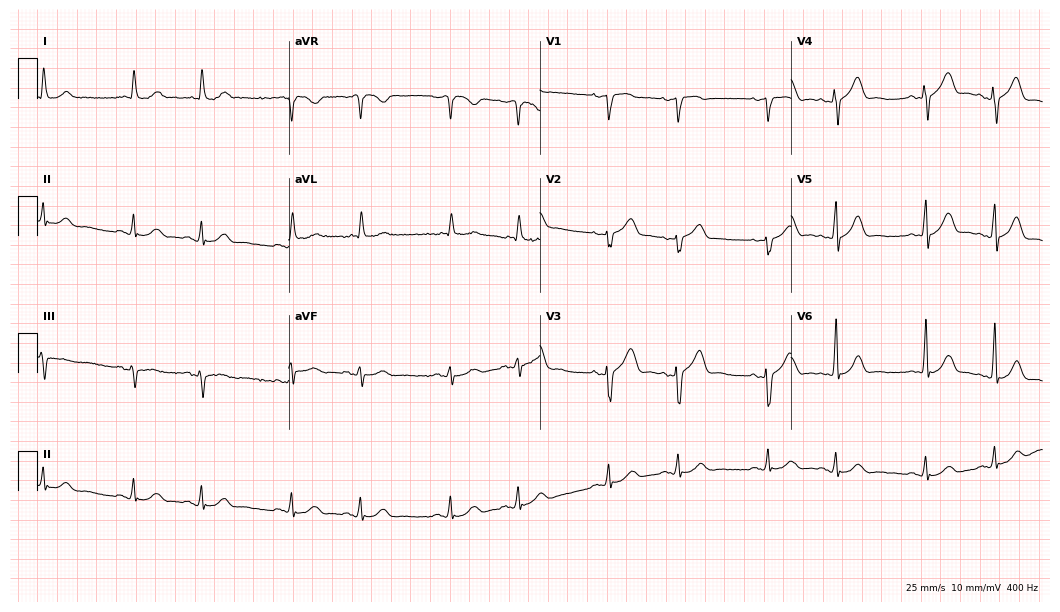
12-lead ECG (10.2-second recording at 400 Hz) from an 82-year-old male. Labelled as a normal ECG.